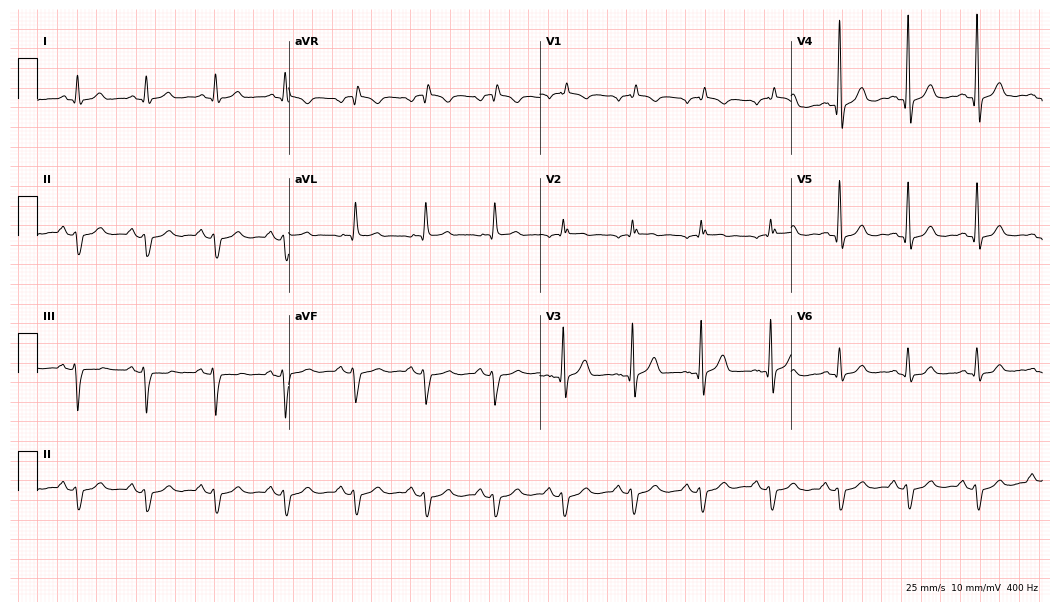
Standard 12-lead ECG recorded from a male, 53 years old. The tracing shows right bundle branch block.